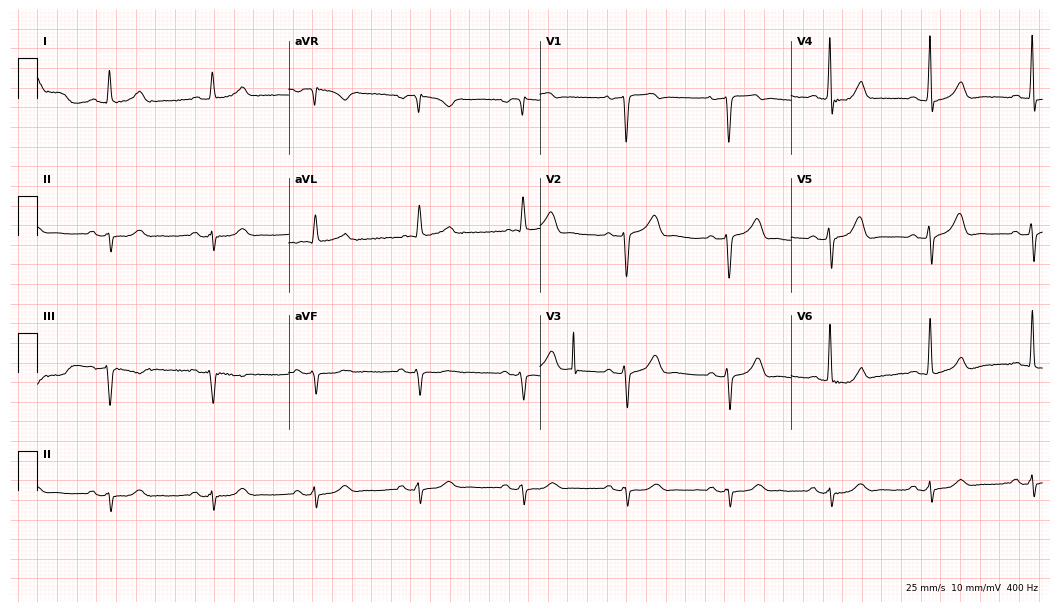
Standard 12-lead ECG recorded from a male patient, 80 years old. None of these six findings is recorded: first-degree AV block, right bundle branch block, left bundle branch block, sinus bradycardia, atrial fibrillation, sinus tachycardia.